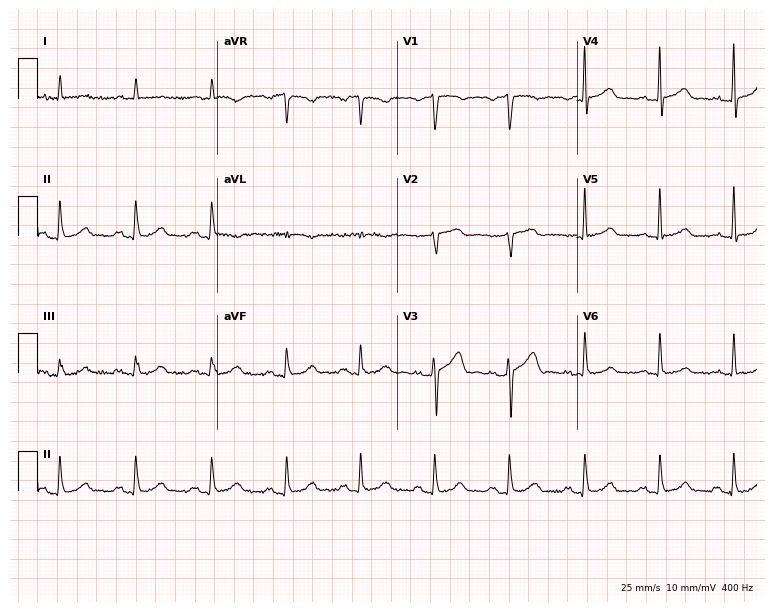
Resting 12-lead electrocardiogram. Patient: a 75-year-old male. Read as a normal ECG.